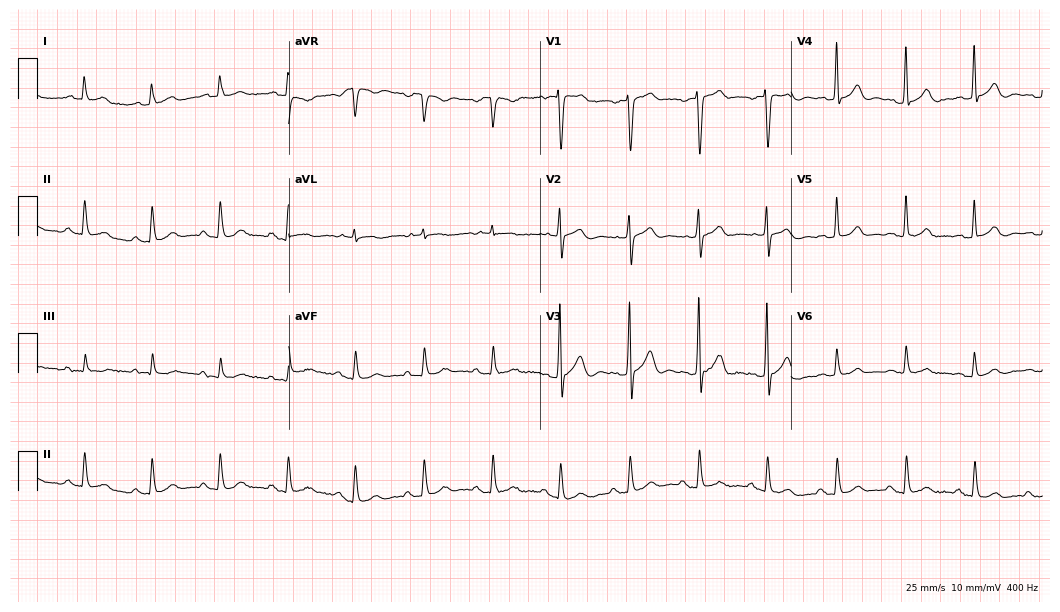
12-lead ECG from a 76-year-old male (10.2-second recording at 400 Hz). Recorded interpretation: within normal limits.